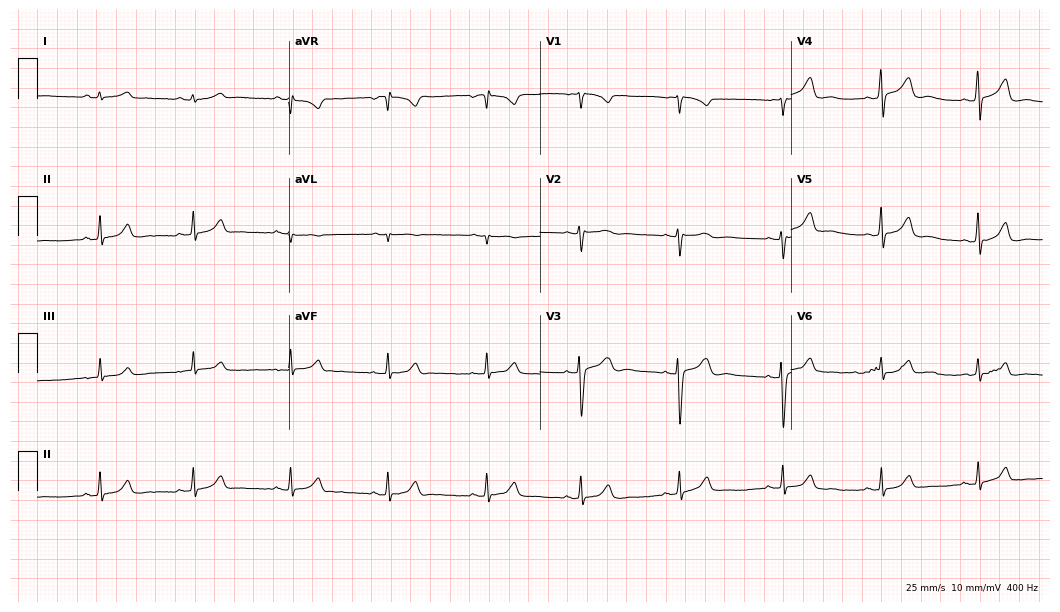
Electrocardiogram, a 39-year-old female patient. Overall reading on record: normal ECG.